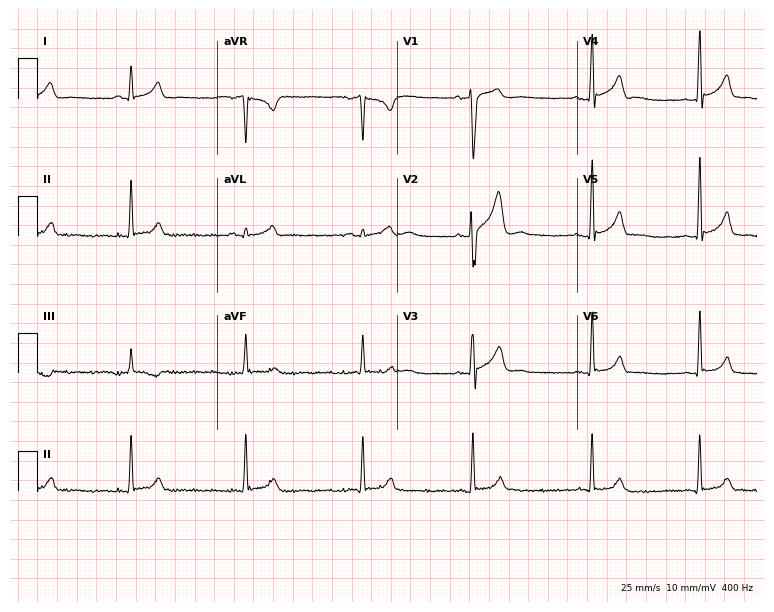
Resting 12-lead electrocardiogram (7.3-second recording at 400 Hz). Patient: a male, 19 years old. Read as a normal ECG.